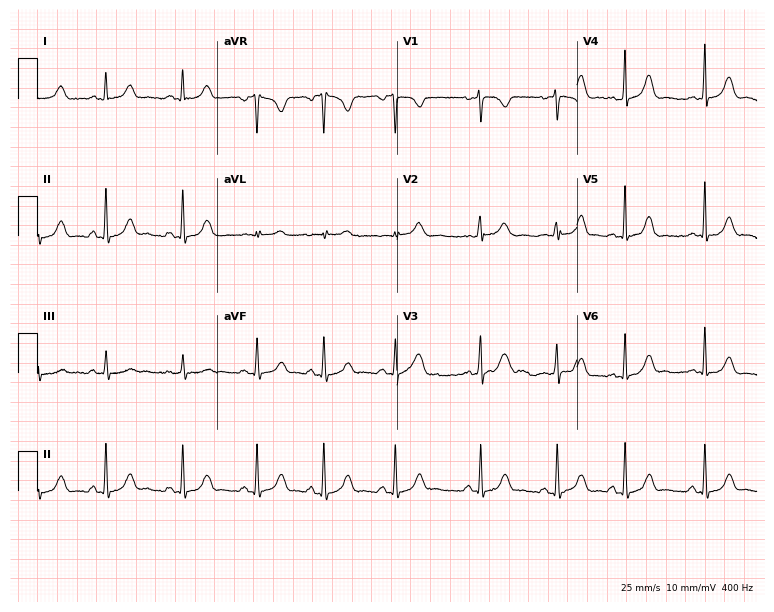
Standard 12-lead ECG recorded from a female patient, 19 years old (7.3-second recording at 400 Hz). Read as a normal ECG.